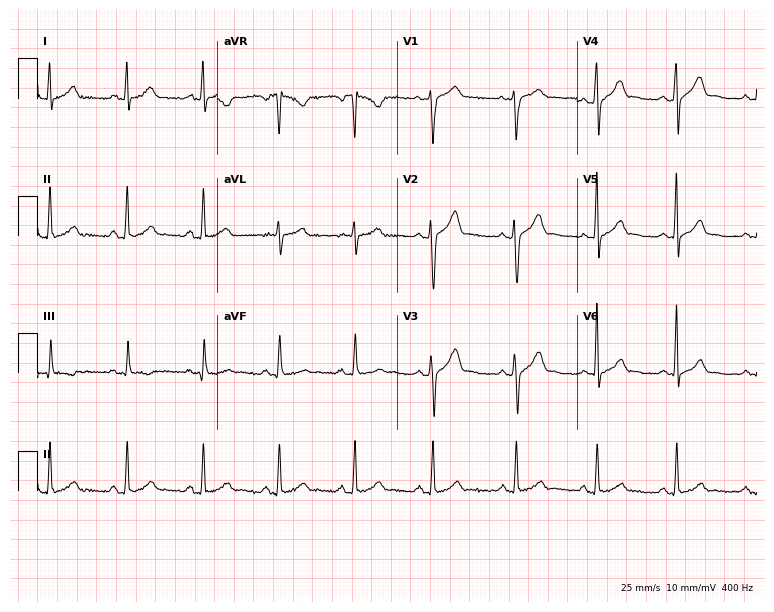
ECG (7.3-second recording at 400 Hz) — a 26-year-old male. Screened for six findings — first-degree AV block, right bundle branch block, left bundle branch block, sinus bradycardia, atrial fibrillation, sinus tachycardia — none is recorded. Only these six findings were labelled.